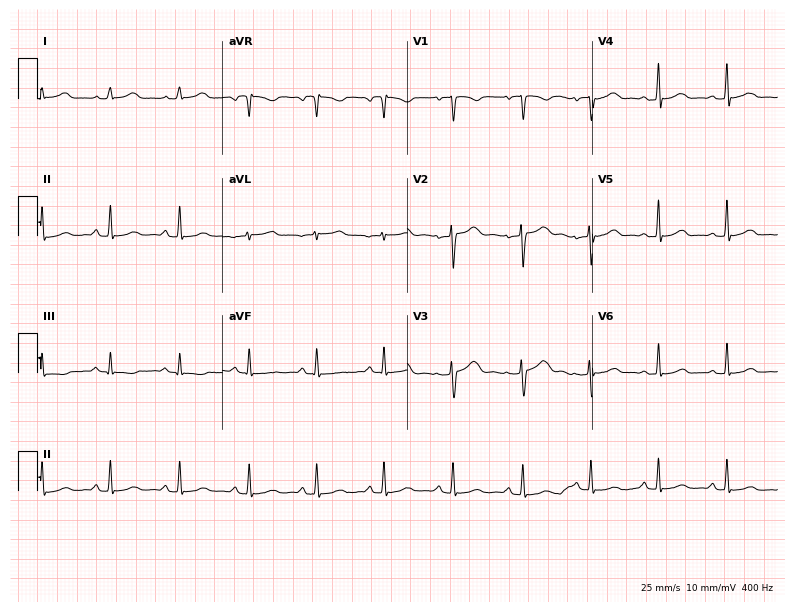
12-lead ECG from a woman, 21 years old (7.5-second recording at 400 Hz). No first-degree AV block, right bundle branch block, left bundle branch block, sinus bradycardia, atrial fibrillation or sinus tachycardia recorded for this tracing. Other findings, if any, are not listed.